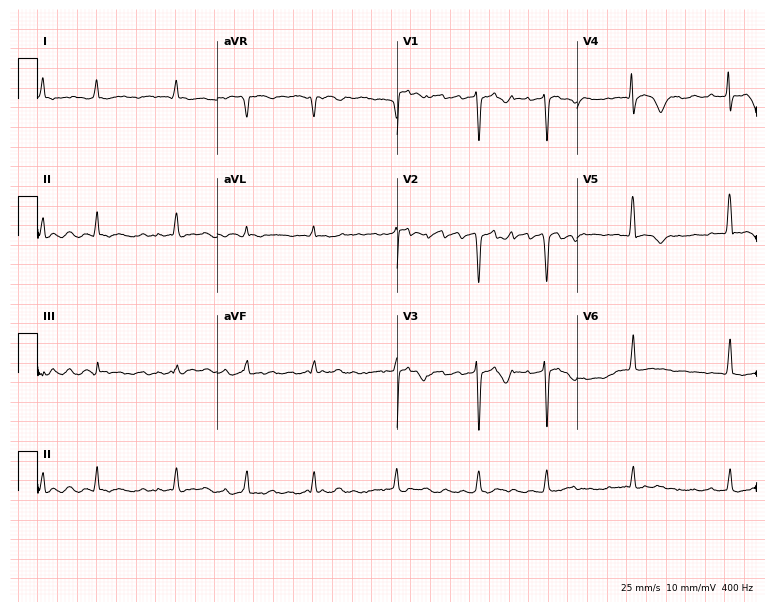
ECG — a woman, 81 years old. Findings include atrial fibrillation.